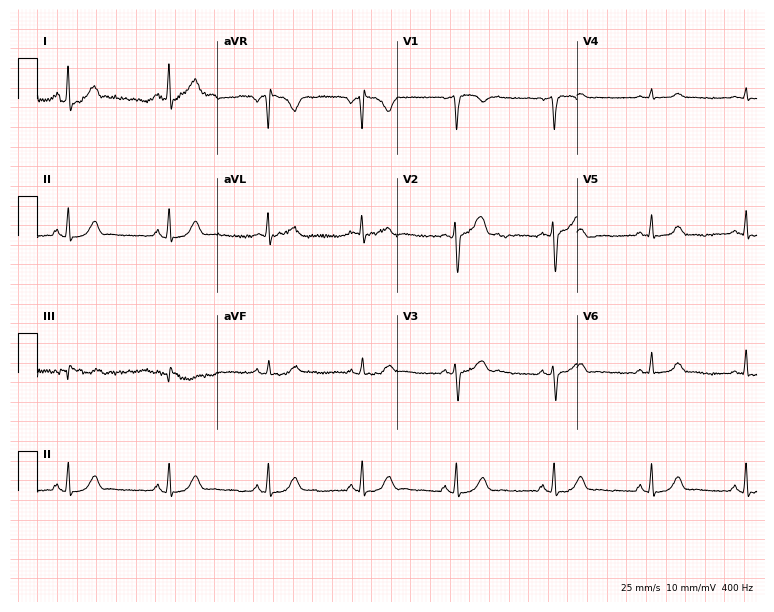
Resting 12-lead electrocardiogram. Patient: a 36-year-old woman. Read as a normal ECG.